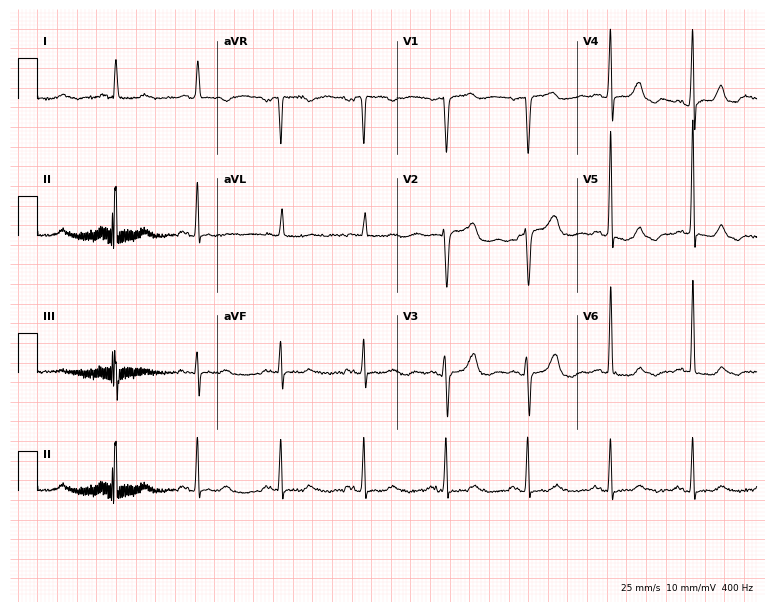
12-lead ECG (7.3-second recording at 400 Hz) from a 76-year-old female. Labelled as a normal ECG.